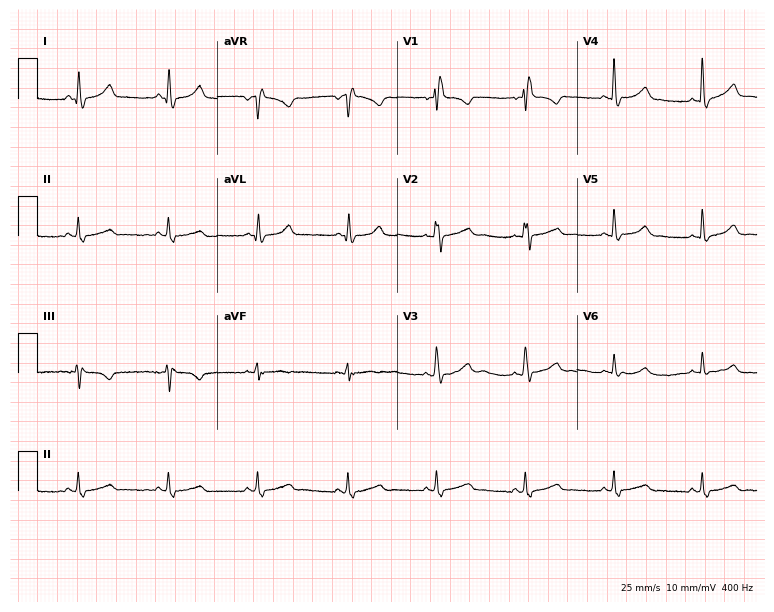
12-lead ECG from a female patient, 42 years old. No first-degree AV block, right bundle branch block, left bundle branch block, sinus bradycardia, atrial fibrillation or sinus tachycardia recorded for this tracing.